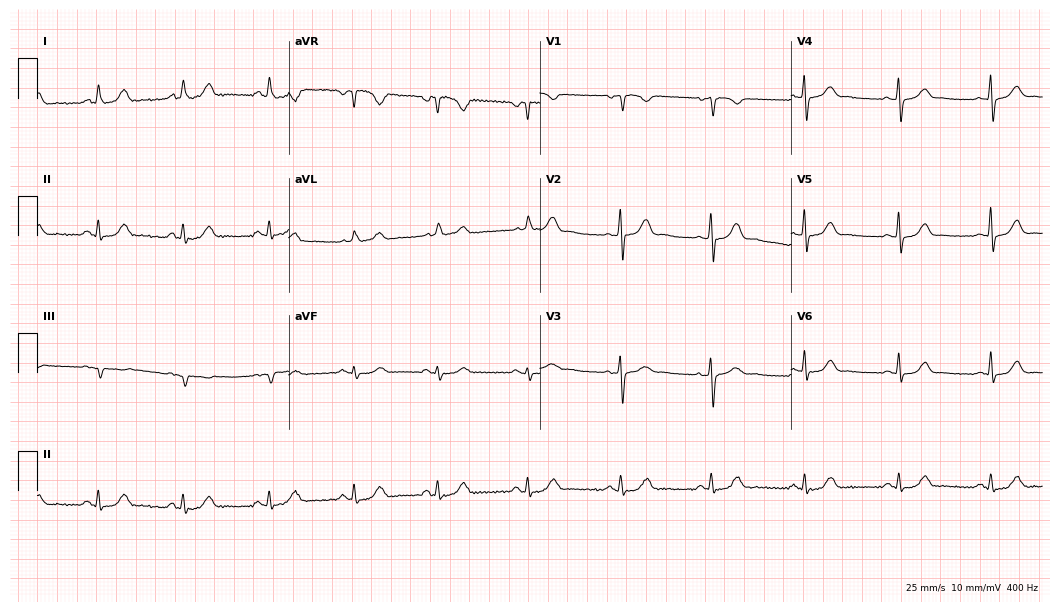
12-lead ECG from a female, 43 years old. Screened for six findings — first-degree AV block, right bundle branch block, left bundle branch block, sinus bradycardia, atrial fibrillation, sinus tachycardia — none is recorded.